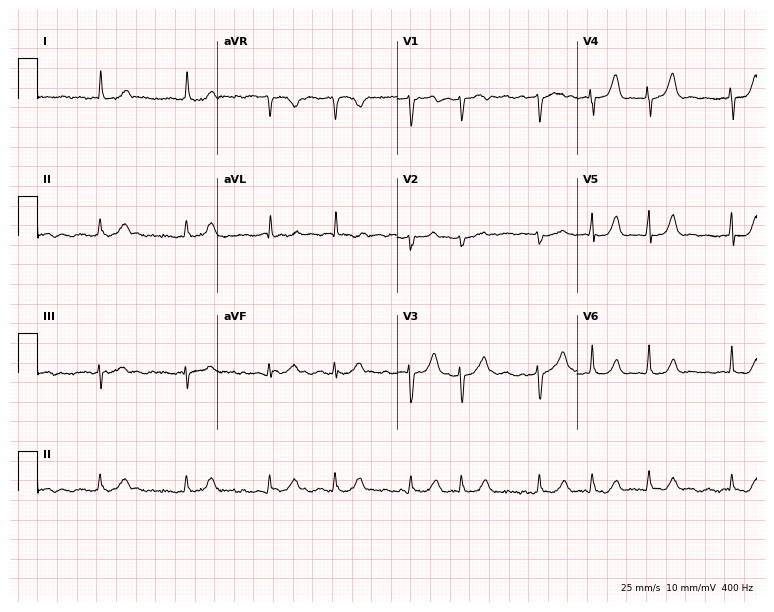
12-lead ECG (7.3-second recording at 400 Hz) from a female patient, 75 years old. Findings include atrial fibrillation (AF).